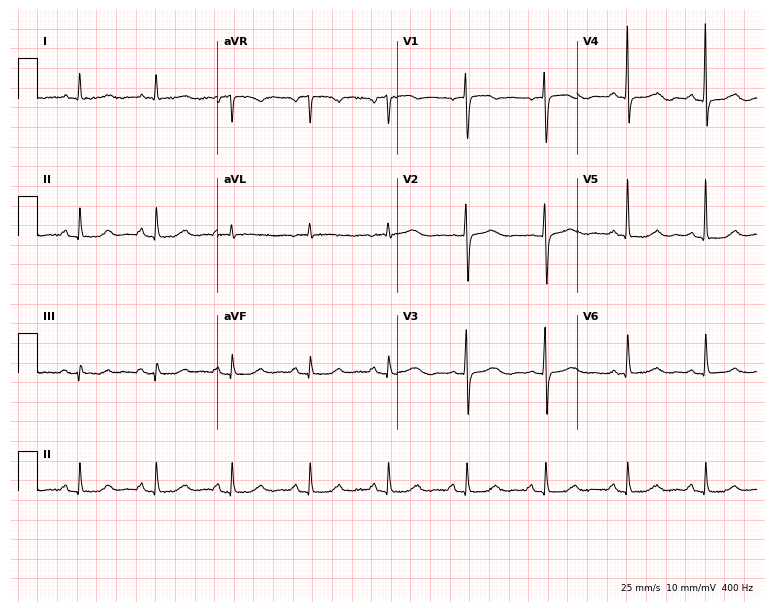
12-lead ECG (7.3-second recording at 400 Hz) from an 83-year-old female. Labelled as a normal ECG.